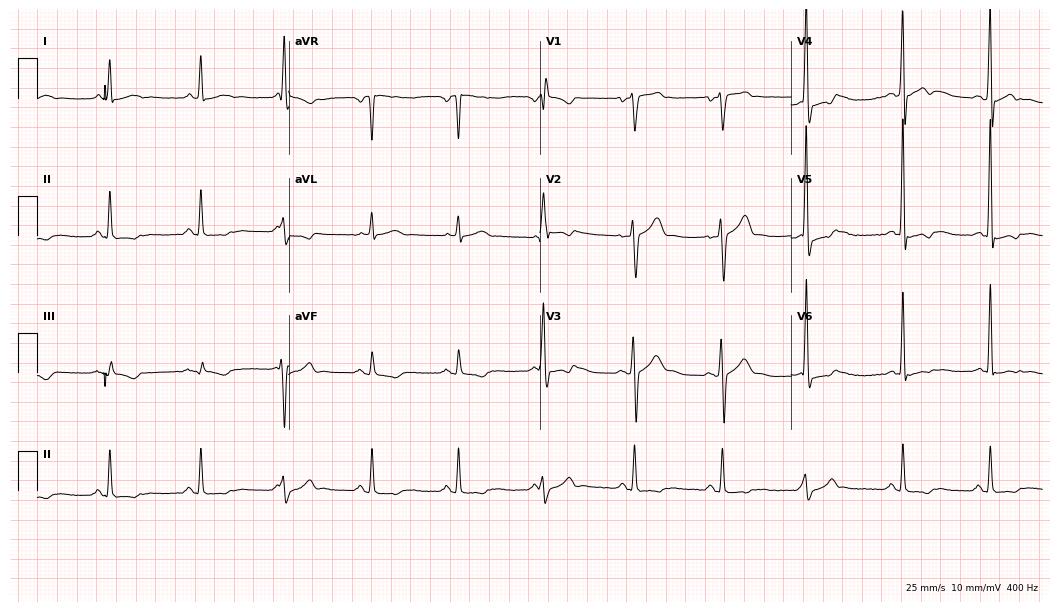
ECG (10.2-second recording at 400 Hz) — a male, 44 years old. Screened for six findings — first-degree AV block, right bundle branch block, left bundle branch block, sinus bradycardia, atrial fibrillation, sinus tachycardia — none is recorded. Only these six findings were labelled.